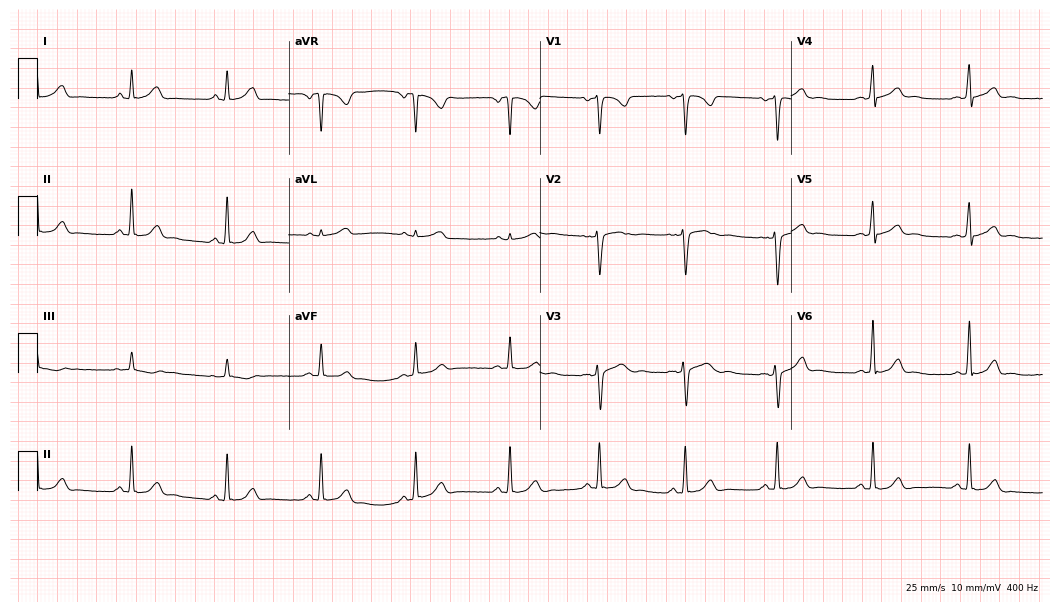
12-lead ECG from a female patient, 22 years old (10.2-second recording at 400 Hz). No first-degree AV block, right bundle branch block (RBBB), left bundle branch block (LBBB), sinus bradycardia, atrial fibrillation (AF) or sinus tachycardia recorded for this tracing.